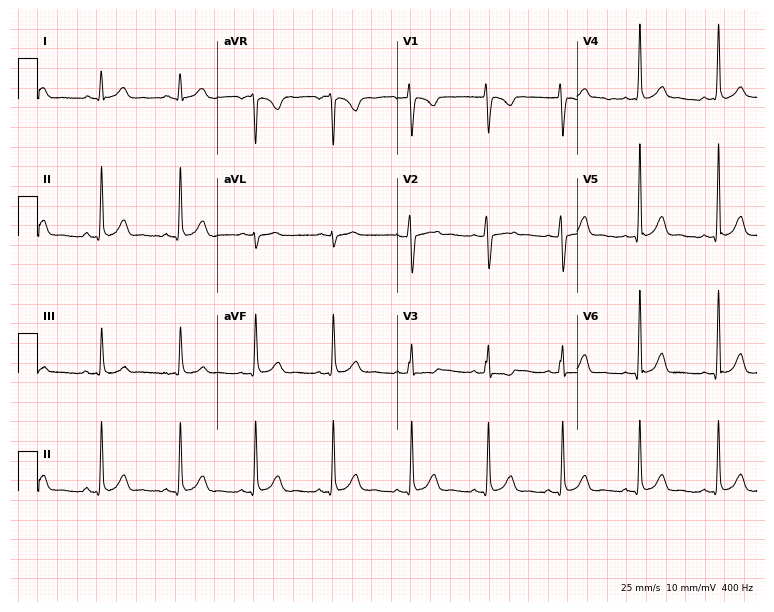
12-lead ECG from a 28-year-old woman. Screened for six findings — first-degree AV block, right bundle branch block (RBBB), left bundle branch block (LBBB), sinus bradycardia, atrial fibrillation (AF), sinus tachycardia — none is recorded. Only these six findings were labelled.